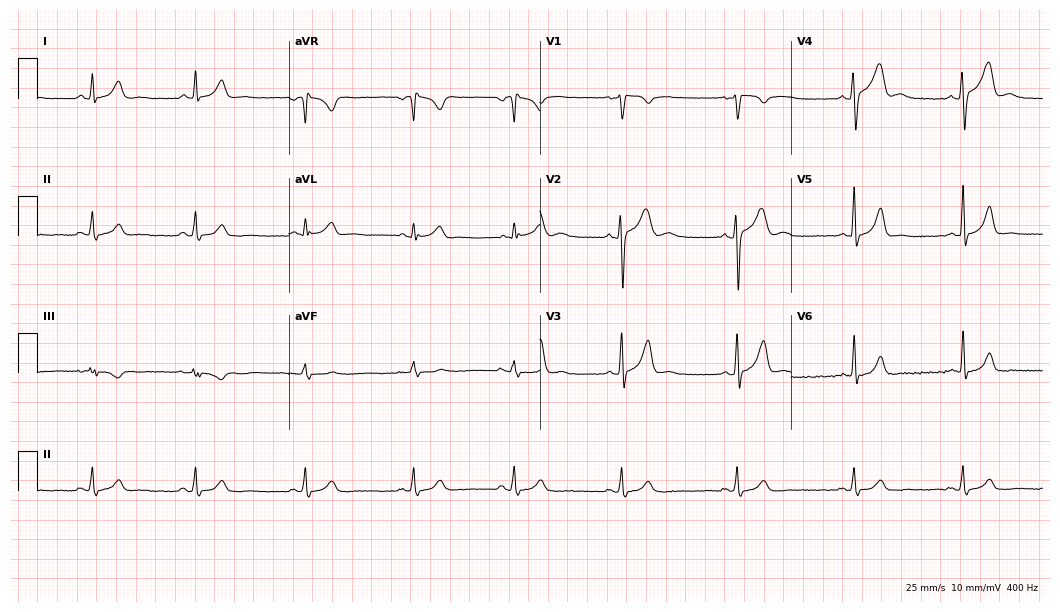
12-lead ECG from a 27-year-old man (10.2-second recording at 400 Hz). No first-degree AV block, right bundle branch block, left bundle branch block, sinus bradycardia, atrial fibrillation or sinus tachycardia recorded for this tracing. Findings outside these six are not listed.